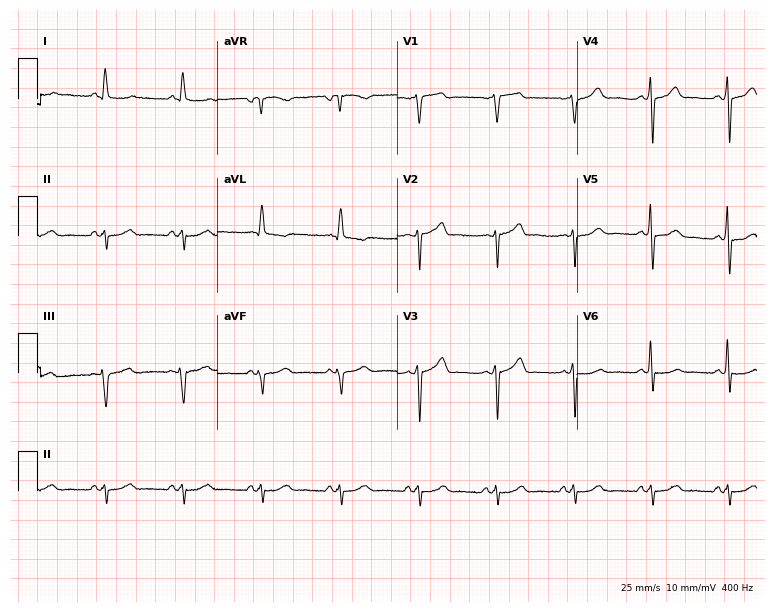
Standard 12-lead ECG recorded from a man, 81 years old (7.3-second recording at 400 Hz). None of these six findings is recorded: first-degree AV block, right bundle branch block, left bundle branch block, sinus bradycardia, atrial fibrillation, sinus tachycardia. Other findings, if any, are not listed.